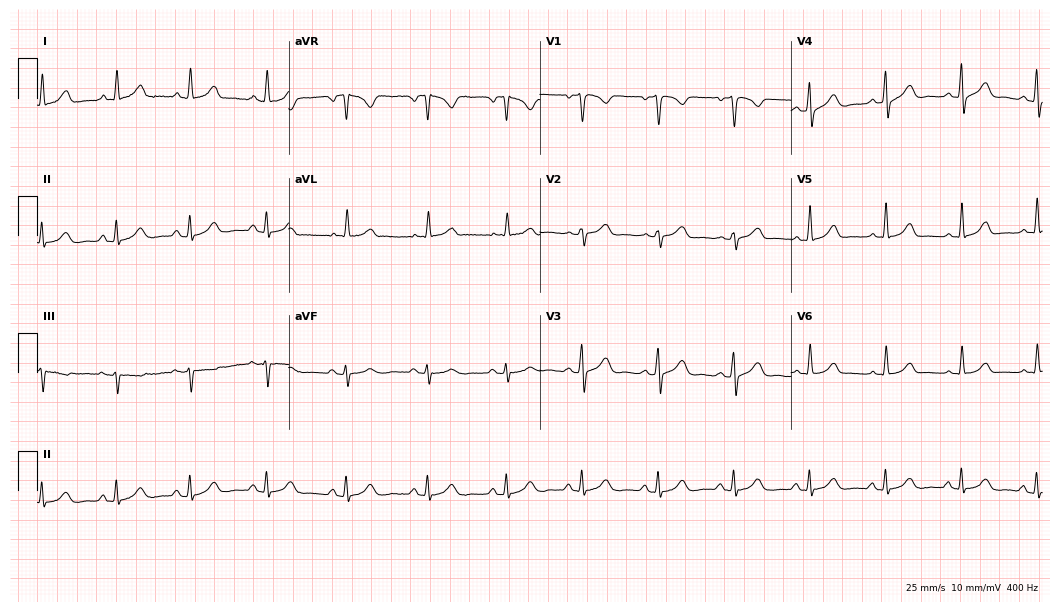
Resting 12-lead electrocardiogram. Patient: a female, 41 years old. None of these six findings is recorded: first-degree AV block, right bundle branch block, left bundle branch block, sinus bradycardia, atrial fibrillation, sinus tachycardia. Findings outside these six are not listed.